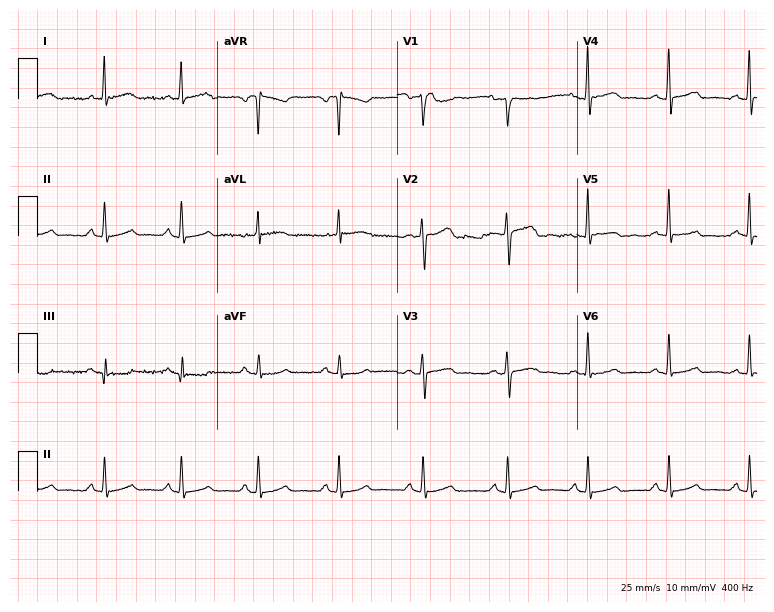
12-lead ECG from a 55-year-old female patient. No first-degree AV block, right bundle branch block, left bundle branch block, sinus bradycardia, atrial fibrillation or sinus tachycardia recorded for this tracing.